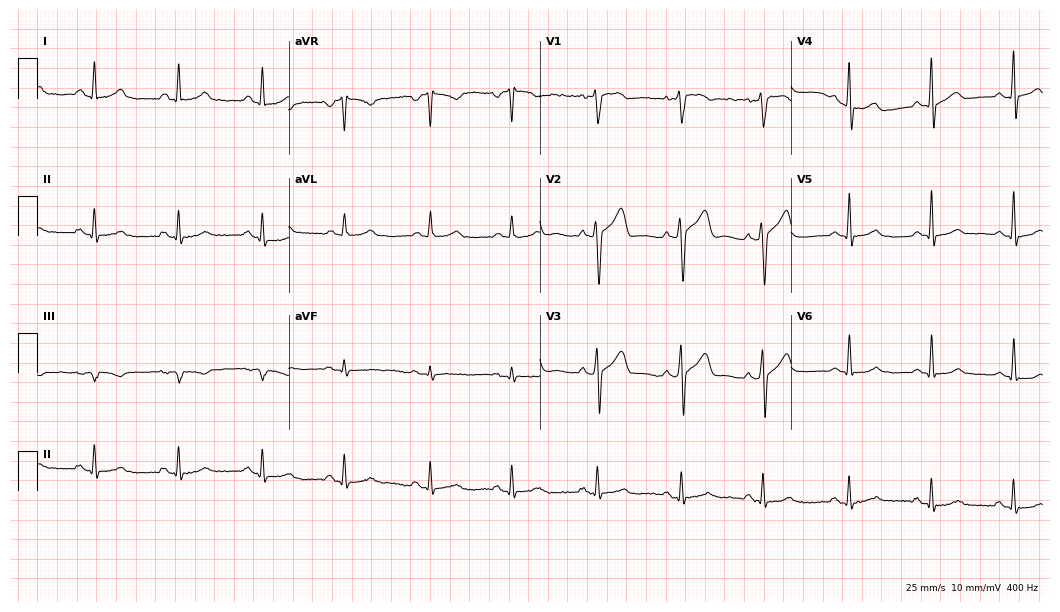
Standard 12-lead ECG recorded from a 34-year-old male patient (10.2-second recording at 400 Hz). Read as a normal ECG.